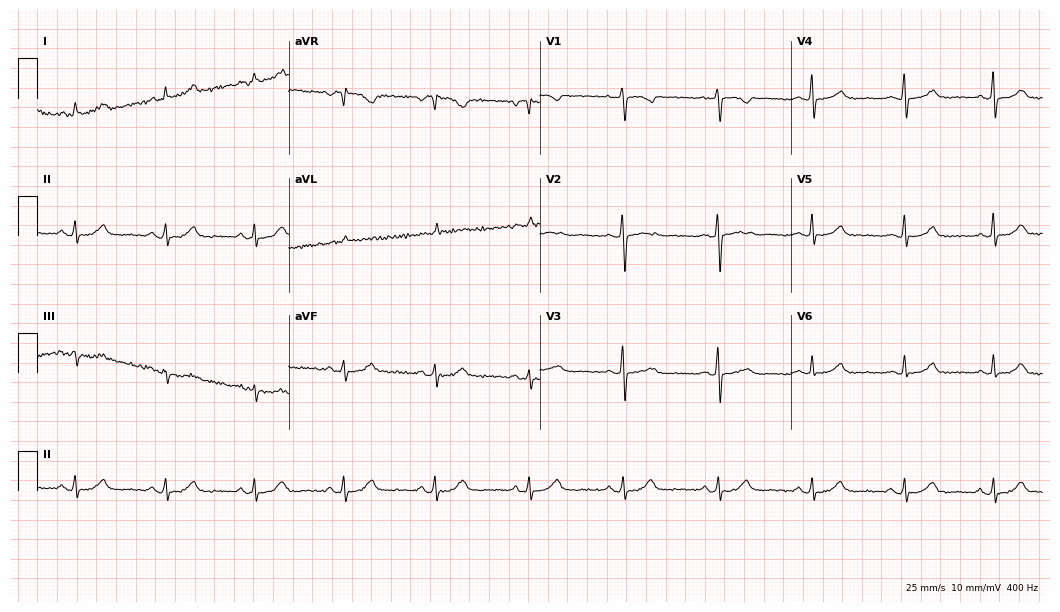
ECG — a woman, 54 years old. Labelled as a normal ECG.